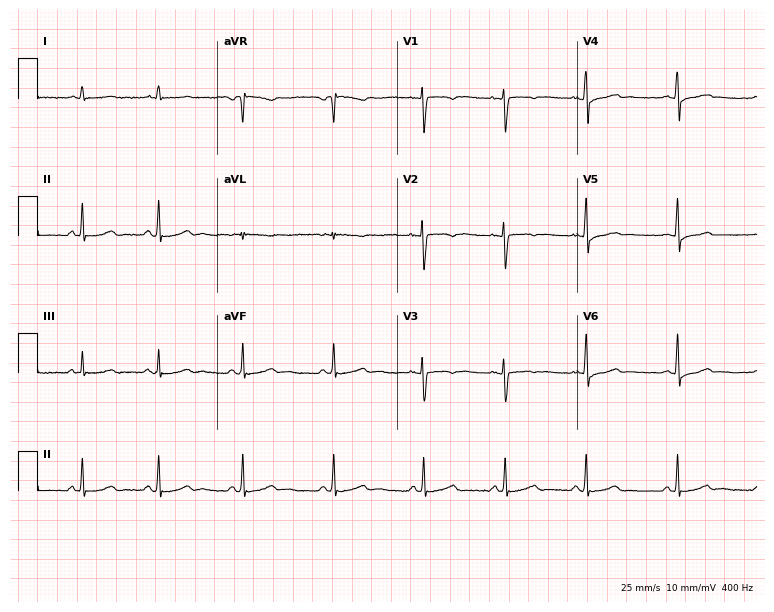
Standard 12-lead ECG recorded from a woman, 24 years old. None of these six findings is recorded: first-degree AV block, right bundle branch block, left bundle branch block, sinus bradycardia, atrial fibrillation, sinus tachycardia.